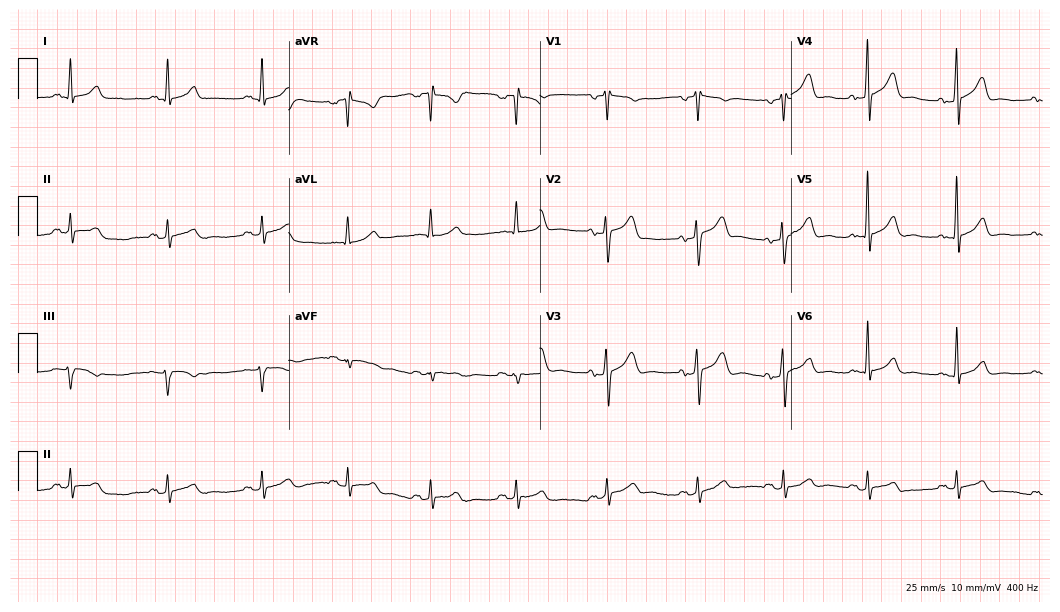
12-lead ECG from a 47-year-old male. Labelled as a normal ECG.